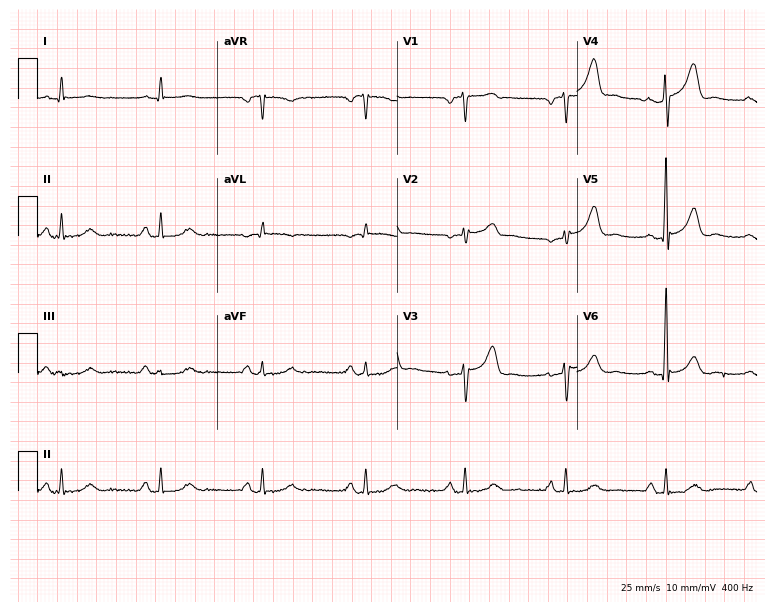
12-lead ECG (7.3-second recording at 400 Hz) from a male, 60 years old. Screened for six findings — first-degree AV block, right bundle branch block, left bundle branch block, sinus bradycardia, atrial fibrillation, sinus tachycardia — none is recorded.